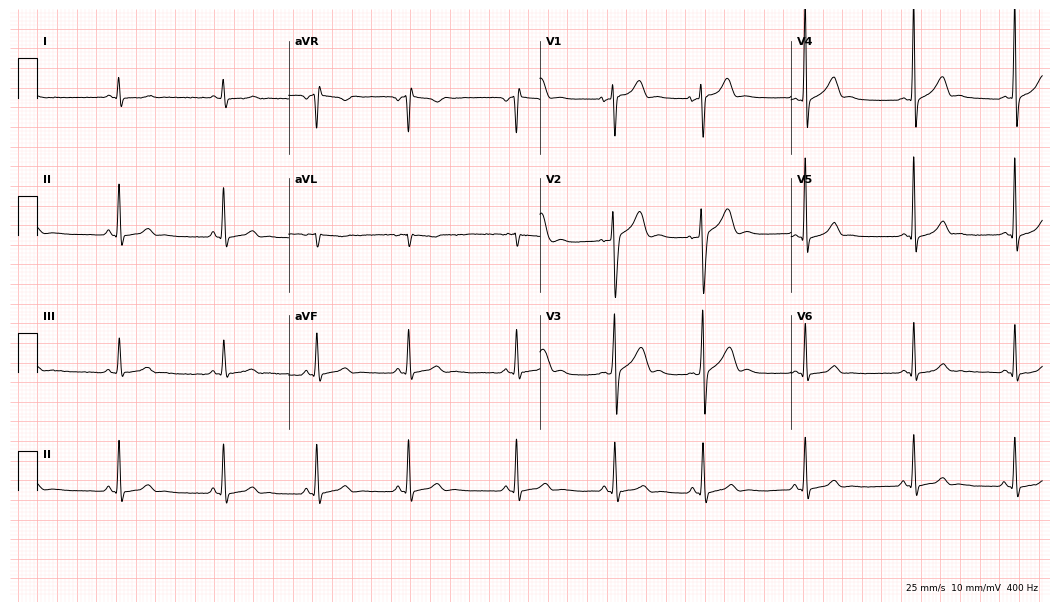
Electrocardiogram (10.2-second recording at 400 Hz), a 17-year-old male. Overall reading on record: normal ECG.